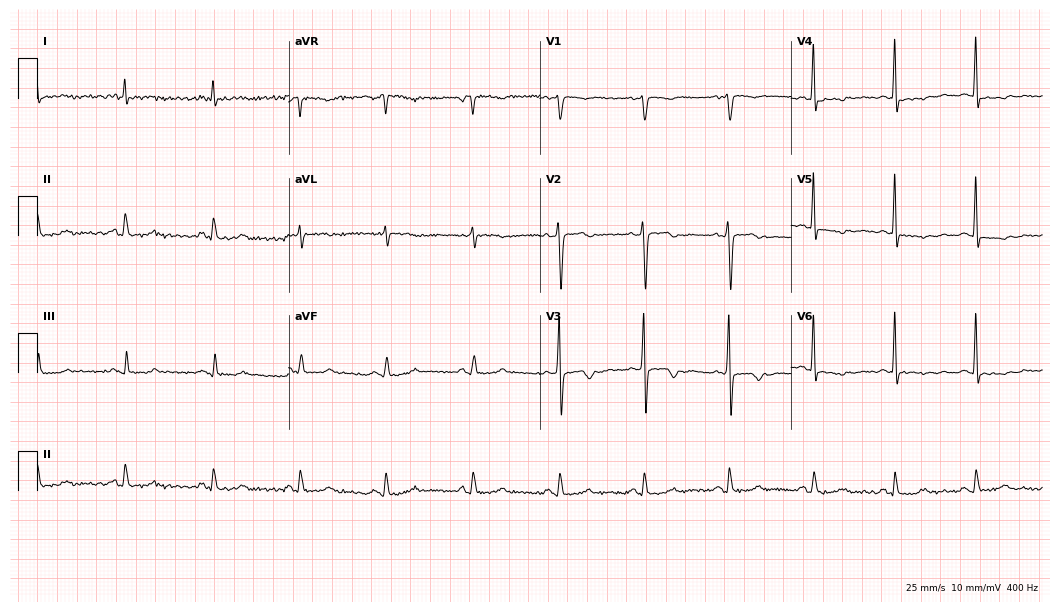
Electrocardiogram, a female, 49 years old. Of the six screened findings (first-degree AV block, right bundle branch block (RBBB), left bundle branch block (LBBB), sinus bradycardia, atrial fibrillation (AF), sinus tachycardia), none is recorded.